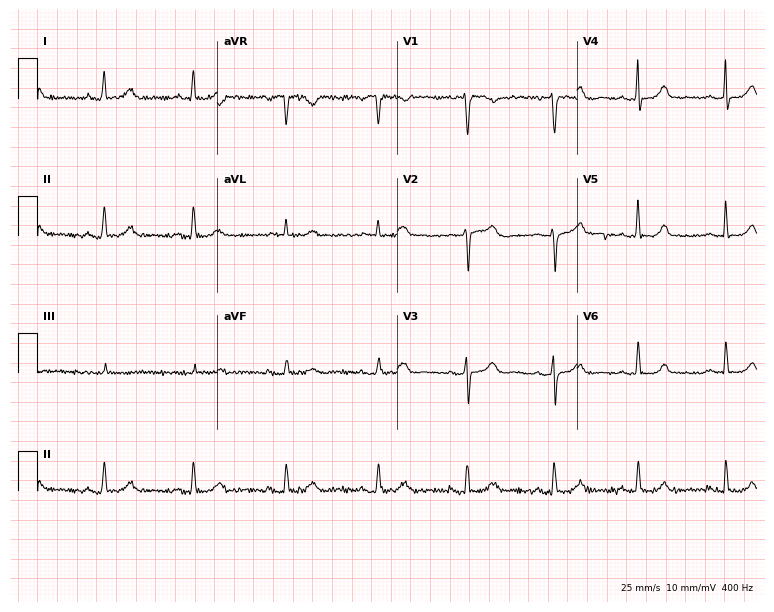
Electrocardiogram (7.3-second recording at 400 Hz), a 66-year-old female patient. Of the six screened findings (first-degree AV block, right bundle branch block, left bundle branch block, sinus bradycardia, atrial fibrillation, sinus tachycardia), none is recorded.